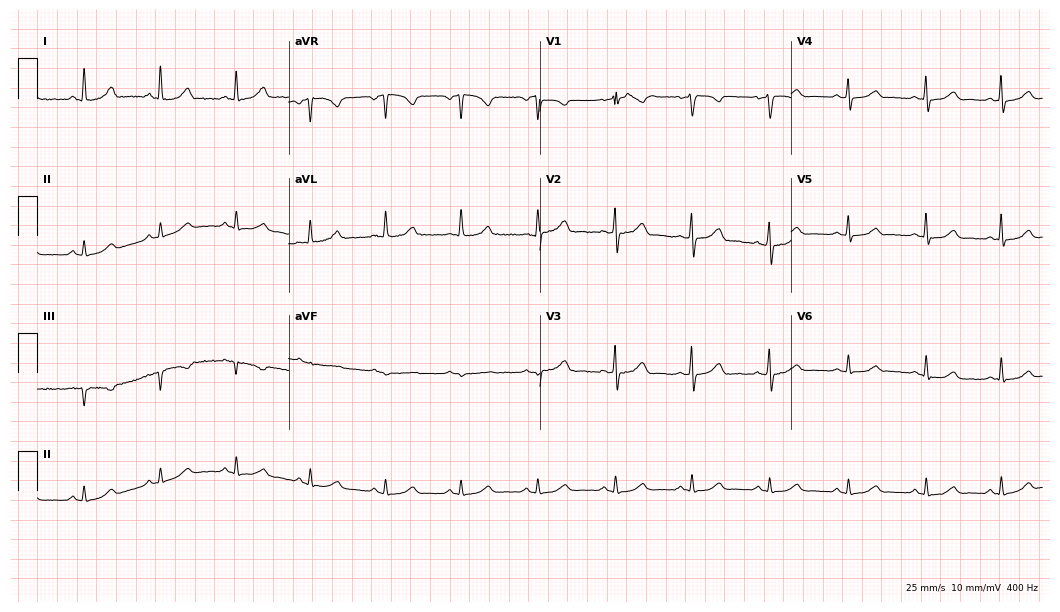
Resting 12-lead electrocardiogram (10.2-second recording at 400 Hz). Patient: a female, 48 years old. Read as a normal ECG.